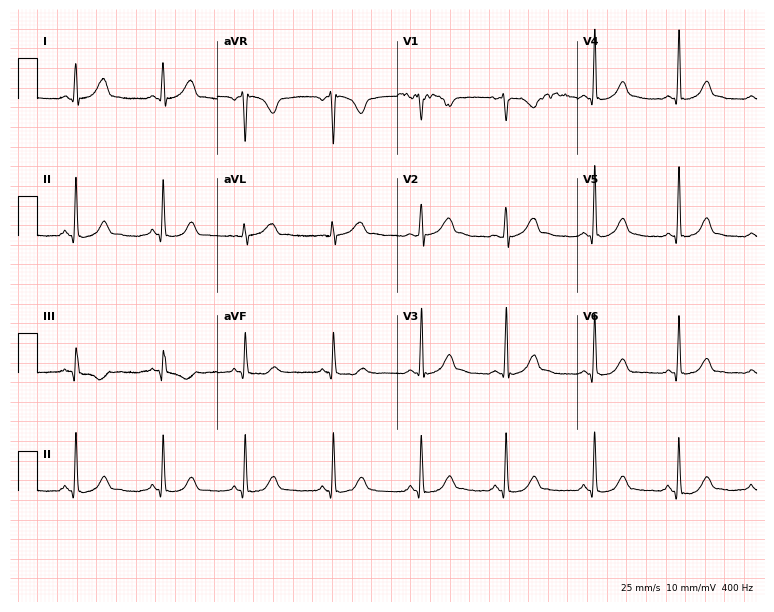
Standard 12-lead ECG recorded from a 27-year-old female patient. Read as a normal ECG.